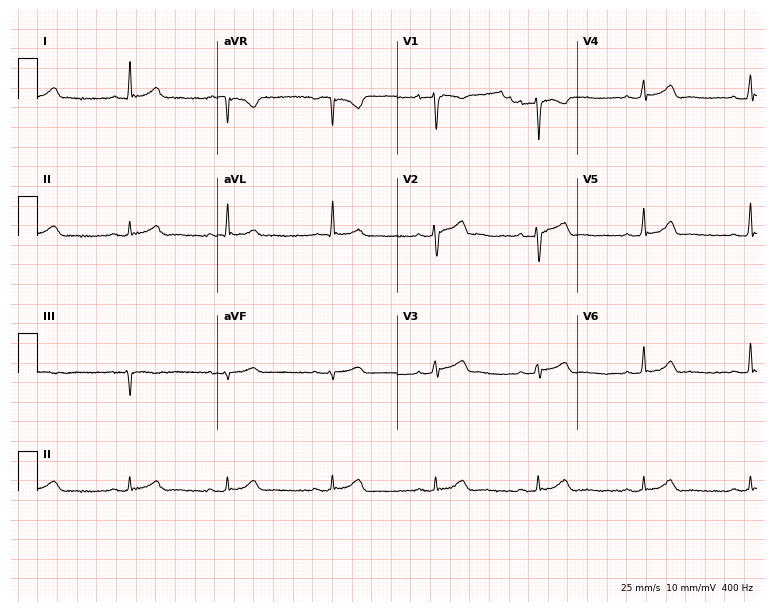
Standard 12-lead ECG recorded from a male patient, 31 years old (7.3-second recording at 400 Hz). Read as a normal ECG.